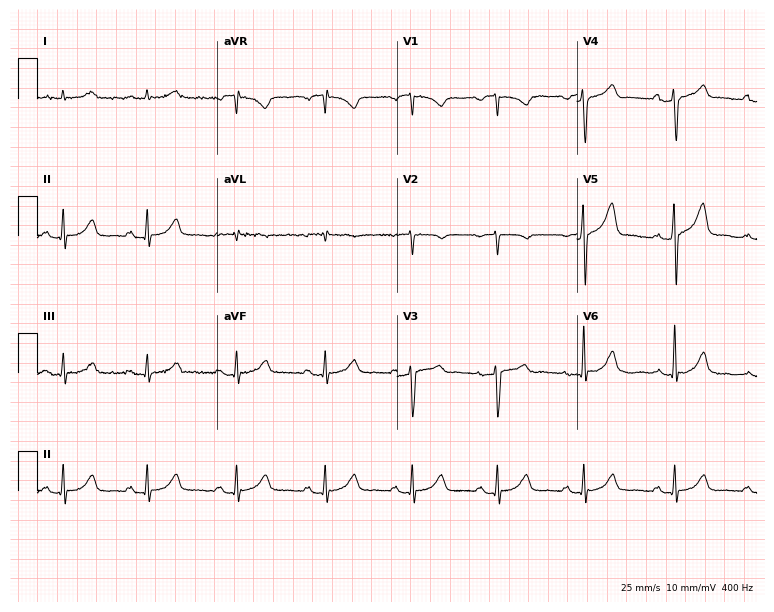
Electrocardiogram, an 85-year-old male patient. Of the six screened findings (first-degree AV block, right bundle branch block (RBBB), left bundle branch block (LBBB), sinus bradycardia, atrial fibrillation (AF), sinus tachycardia), none is recorded. Only these six findings were labelled.